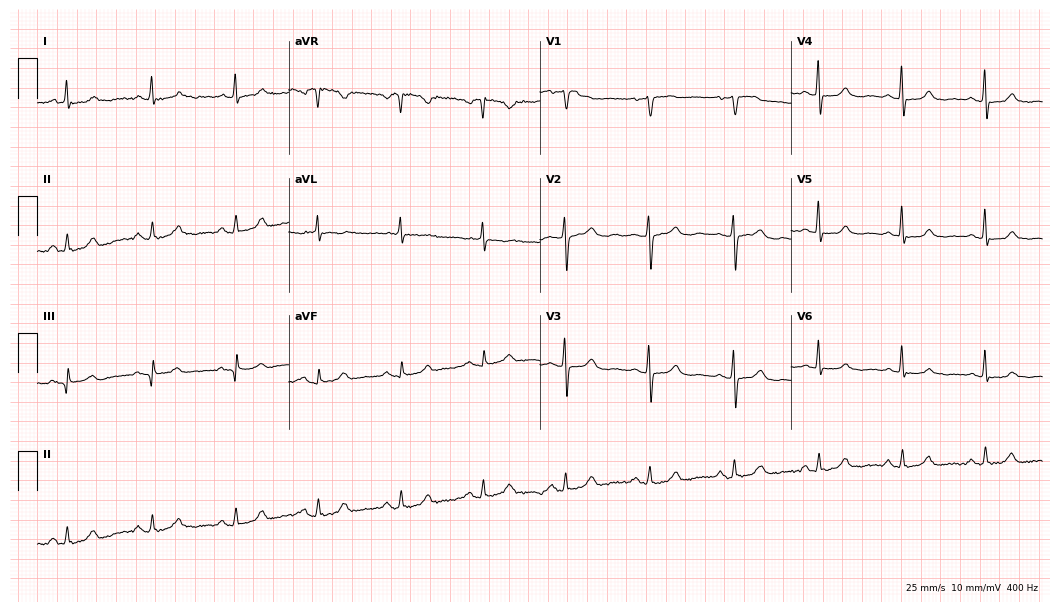
Resting 12-lead electrocardiogram (10.2-second recording at 400 Hz). Patient: an 80-year-old female. None of these six findings is recorded: first-degree AV block, right bundle branch block (RBBB), left bundle branch block (LBBB), sinus bradycardia, atrial fibrillation (AF), sinus tachycardia. Other findings, if any, are not listed.